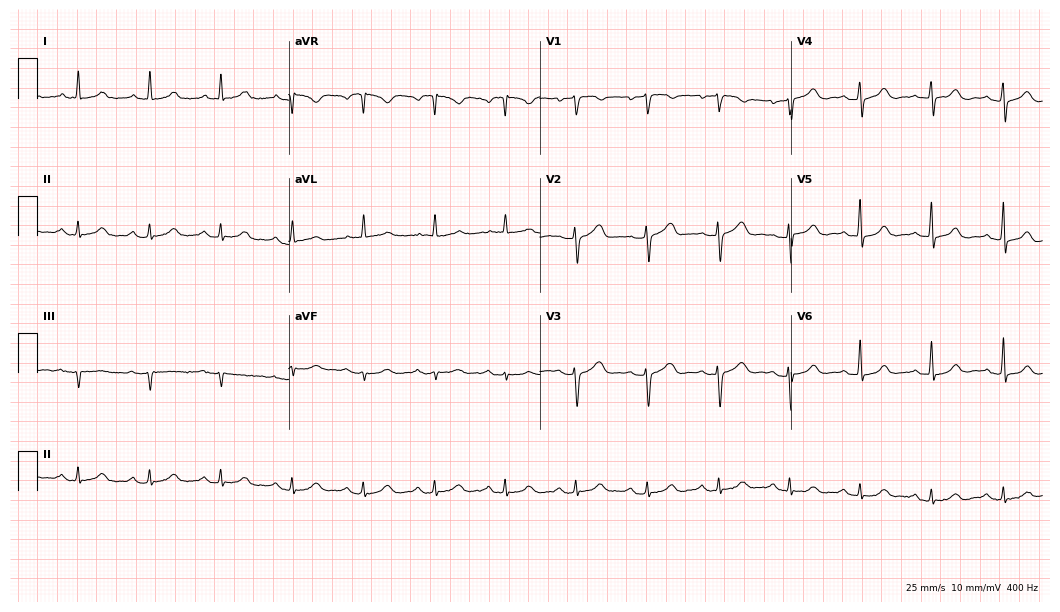
12-lead ECG from a 75-year-old woman. Labelled as a normal ECG.